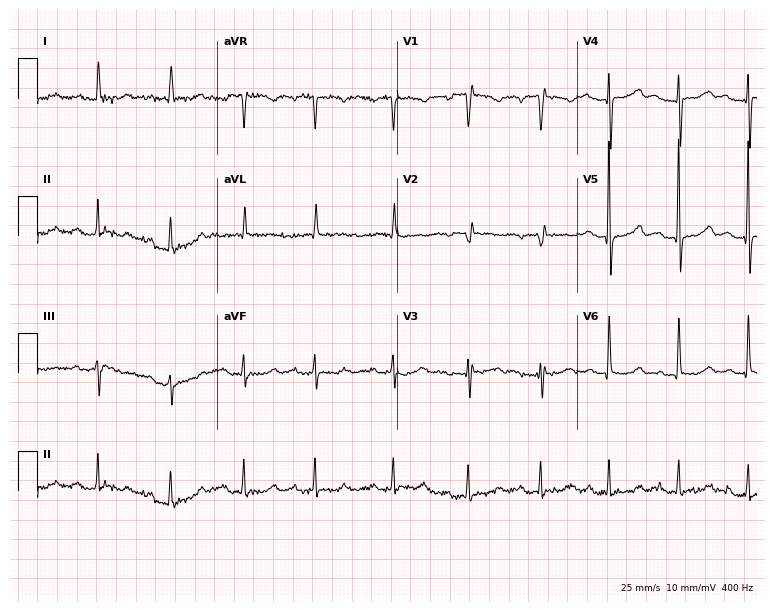
ECG — a woman, 75 years old. Screened for six findings — first-degree AV block, right bundle branch block (RBBB), left bundle branch block (LBBB), sinus bradycardia, atrial fibrillation (AF), sinus tachycardia — none is recorded.